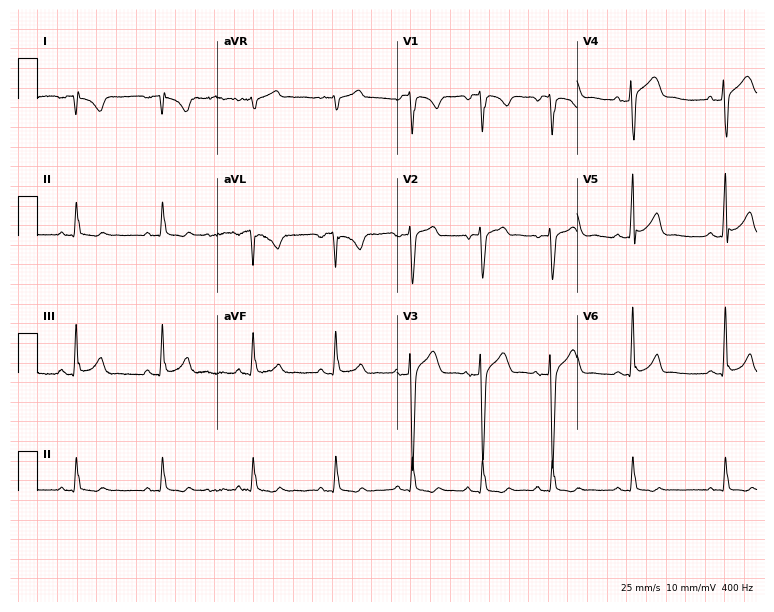
12-lead ECG from an 18-year-old male (7.3-second recording at 400 Hz). No first-degree AV block, right bundle branch block, left bundle branch block, sinus bradycardia, atrial fibrillation or sinus tachycardia recorded for this tracing. Only these six findings were labelled.